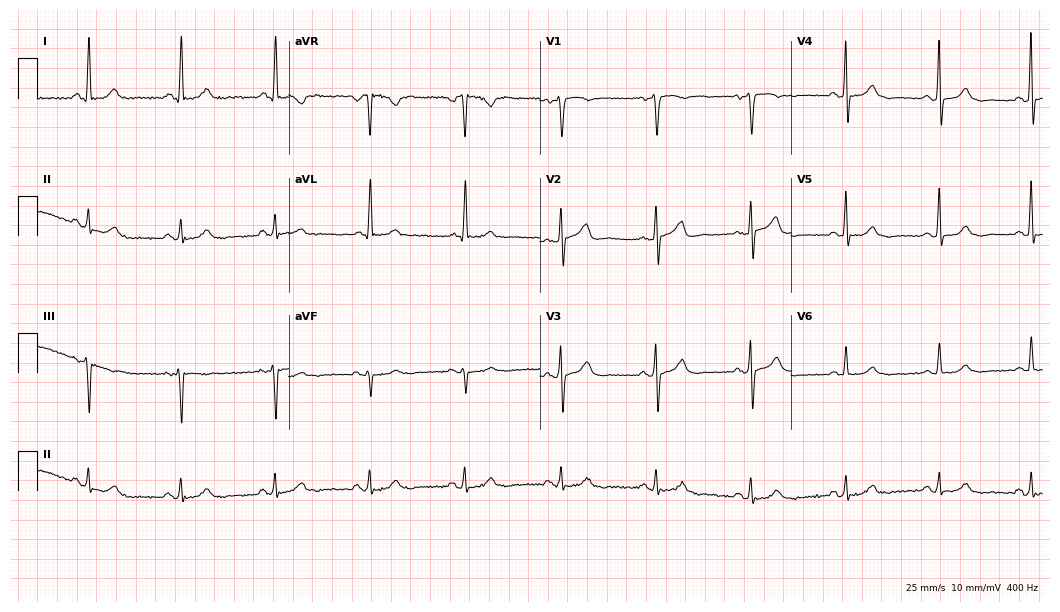
Electrocardiogram, a 70-year-old female patient. Of the six screened findings (first-degree AV block, right bundle branch block (RBBB), left bundle branch block (LBBB), sinus bradycardia, atrial fibrillation (AF), sinus tachycardia), none is recorded.